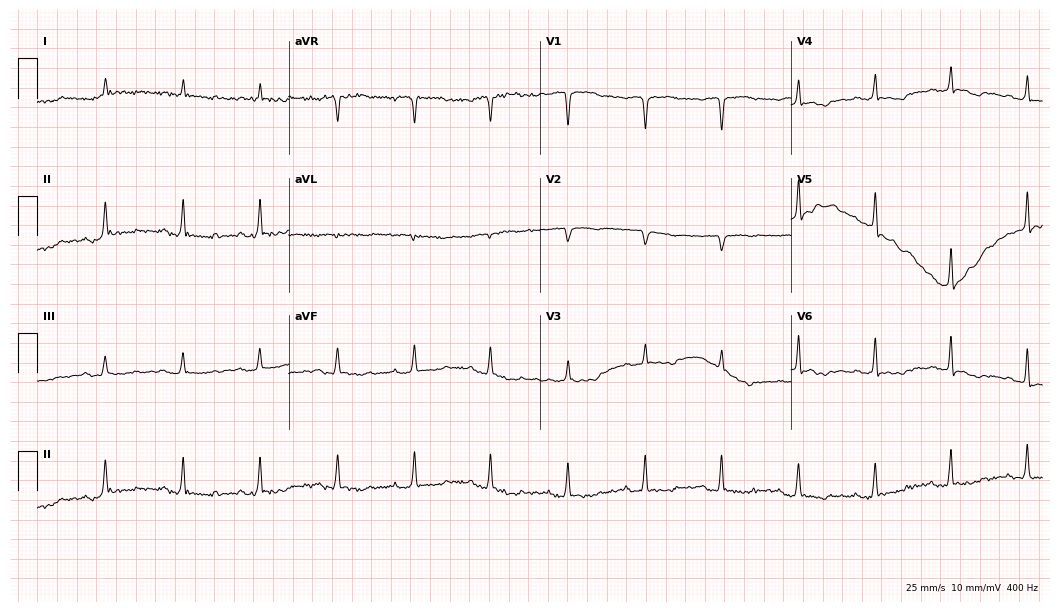
12-lead ECG from a male, 83 years old. Screened for six findings — first-degree AV block, right bundle branch block (RBBB), left bundle branch block (LBBB), sinus bradycardia, atrial fibrillation (AF), sinus tachycardia — none is recorded. Only these six findings were labelled.